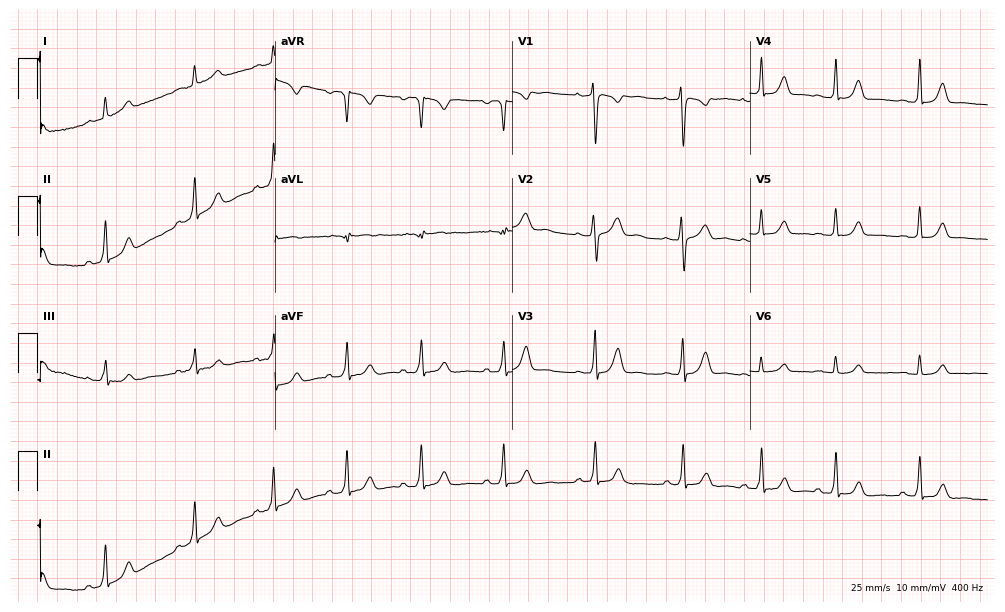
ECG (9.7-second recording at 400 Hz) — a woman, 21 years old. Labelled as a normal ECG.